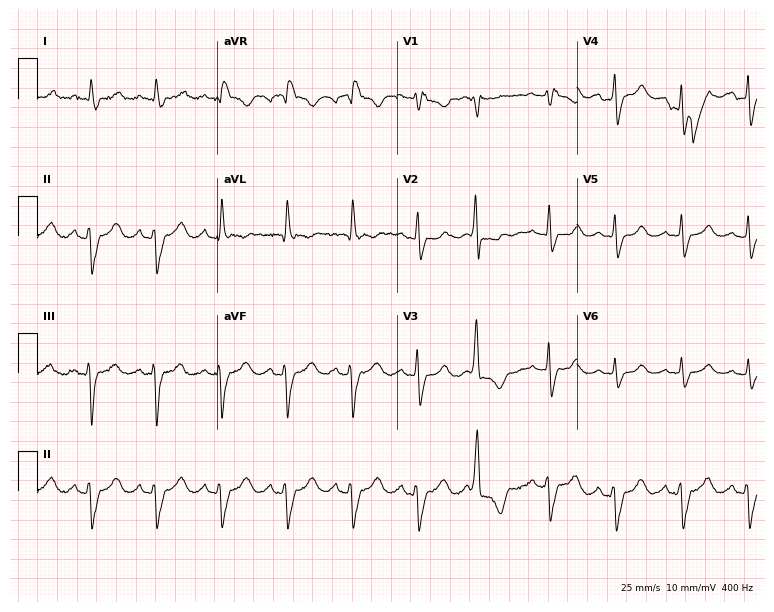
12-lead ECG from a 52-year-old woman (7.3-second recording at 400 Hz). Shows right bundle branch block.